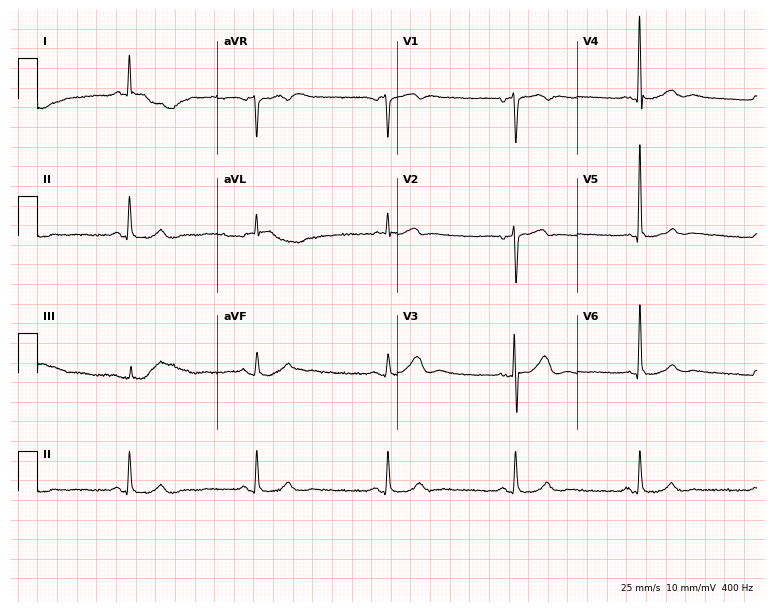
12-lead ECG (7.3-second recording at 400 Hz) from a 77-year-old male. Findings include sinus bradycardia (a sinus rate of 50 beats per minute or less).